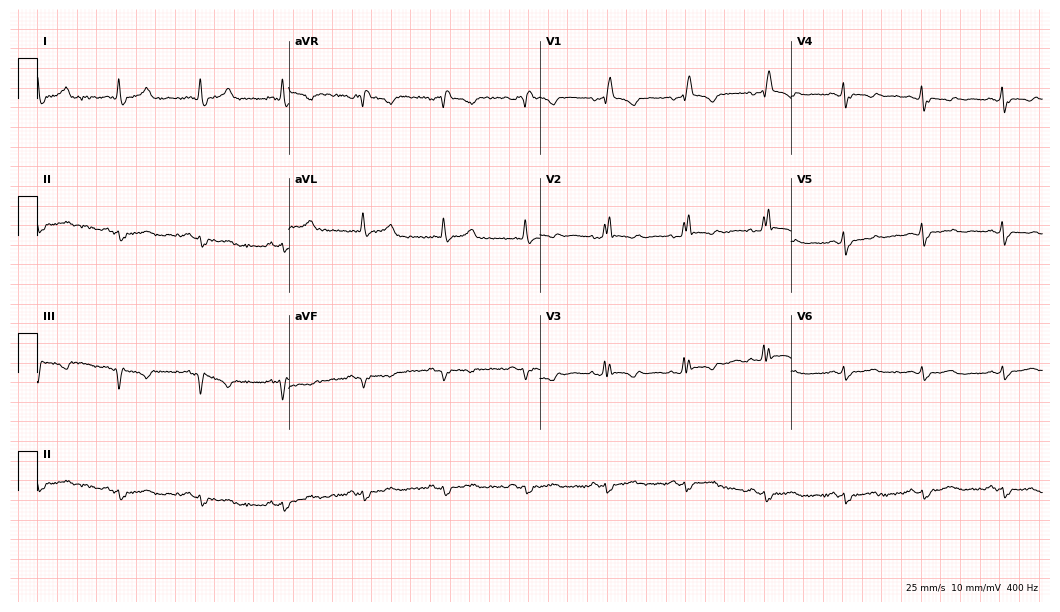
ECG (10.2-second recording at 400 Hz) — a female patient, 69 years old. Findings include right bundle branch block.